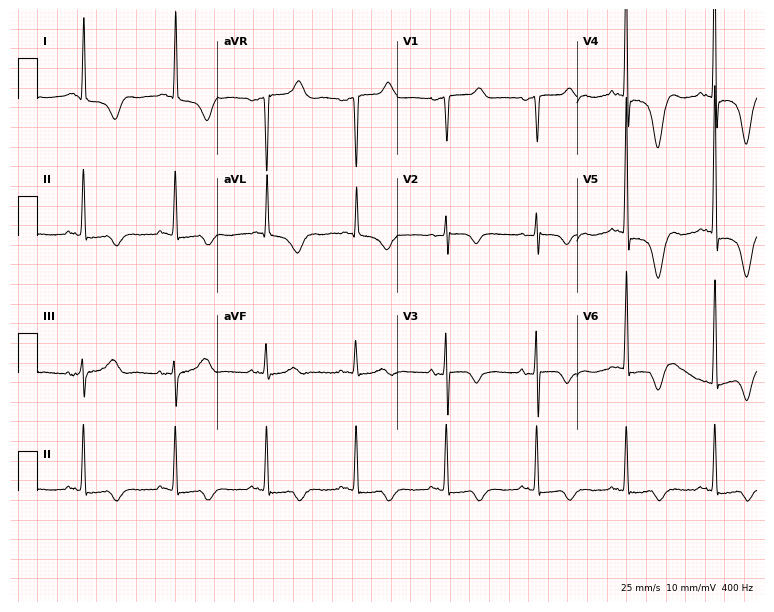
Standard 12-lead ECG recorded from a 69-year-old female. None of these six findings is recorded: first-degree AV block, right bundle branch block, left bundle branch block, sinus bradycardia, atrial fibrillation, sinus tachycardia.